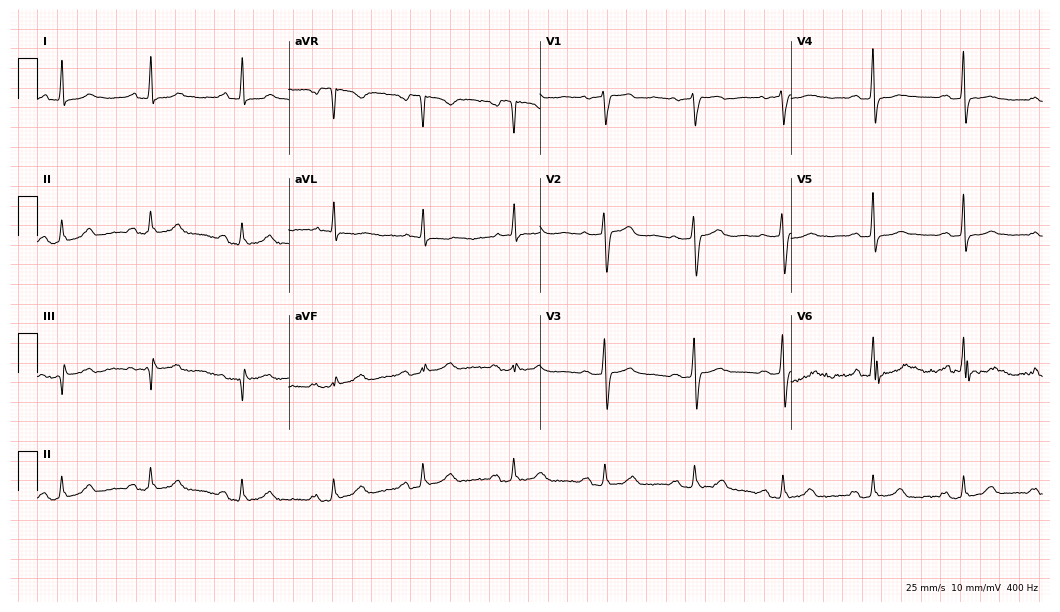
12-lead ECG from a woman, 51 years old. Recorded interpretation: within normal limits.